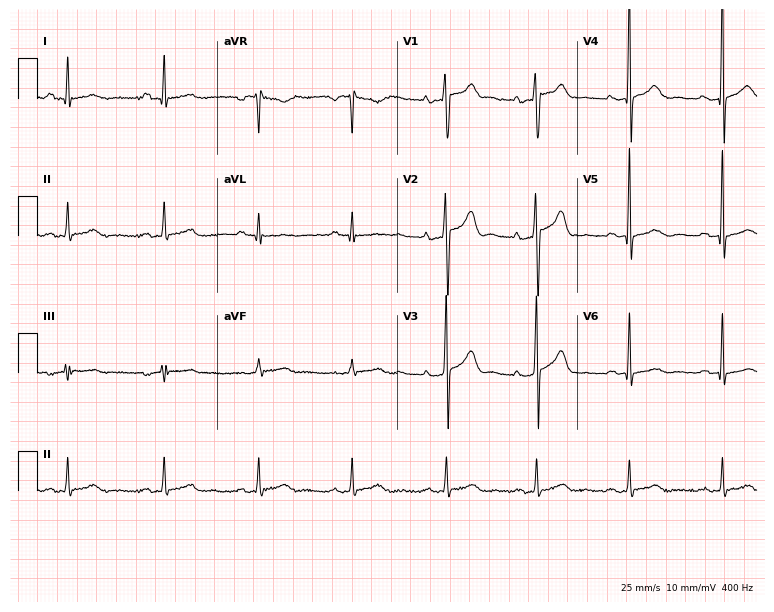
Standard 12-lead ECG recorded from a 46-year-old man. None of these six findings is recorded: first-degree AV block, right bundle branch block (RBBB), left bundle branch block (LBBB), sinus bradycardia, atrial fibrillation (AF), sinus tachycardia. Only these six findings were labelled.